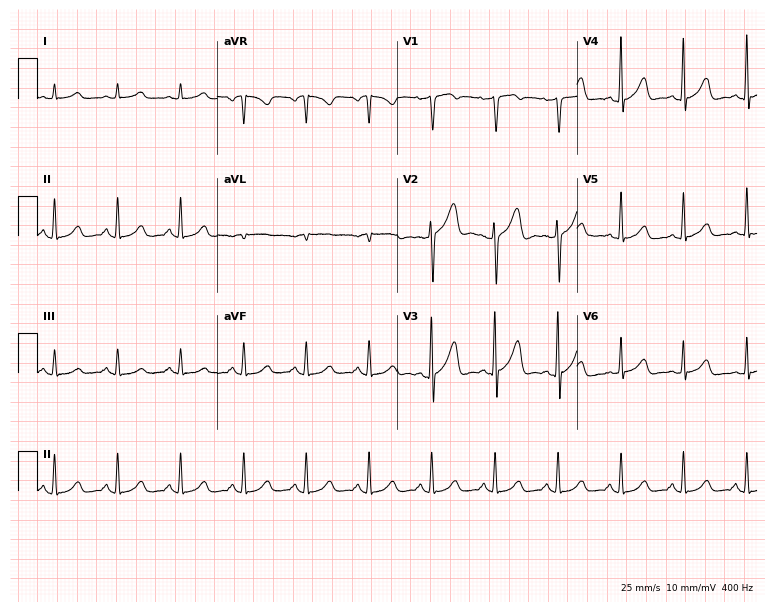
Standard 12-lead ECG recorded from a male, 53 years old (7.3-second recording at 400 Hz). Read as a normal ECG.